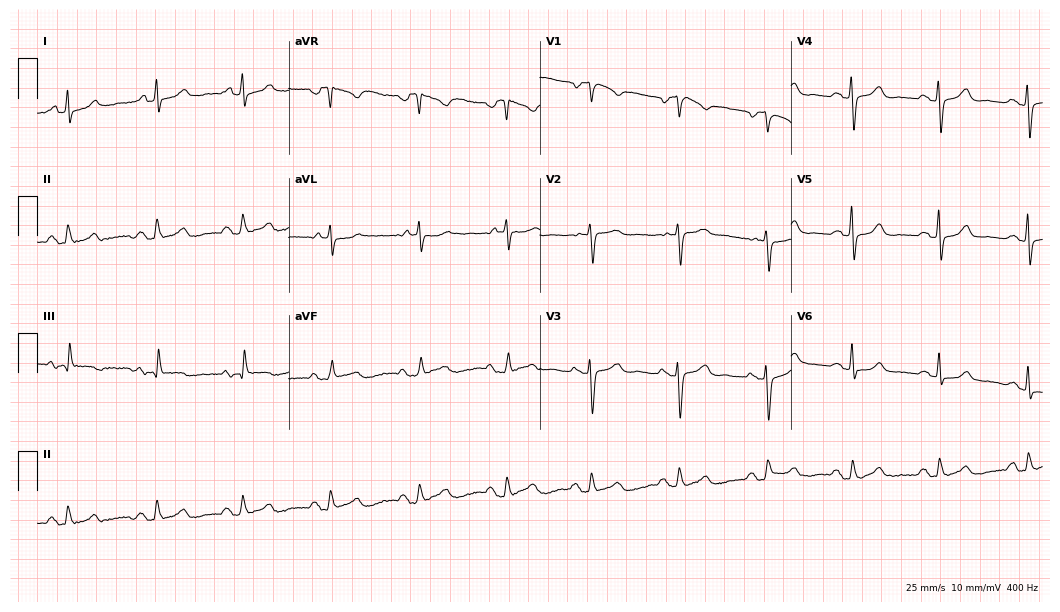
Standard 12-lead ECG recorded from a 65-year-old woman (10.2-second recording at 400 Hz). None of these six findings is recorded: first-degree AV block, right bundle branch block, left bundle branch block, sinus bradycardia, atrial fibrillation, sinus tachycardia. Findings outside these six are not listed.